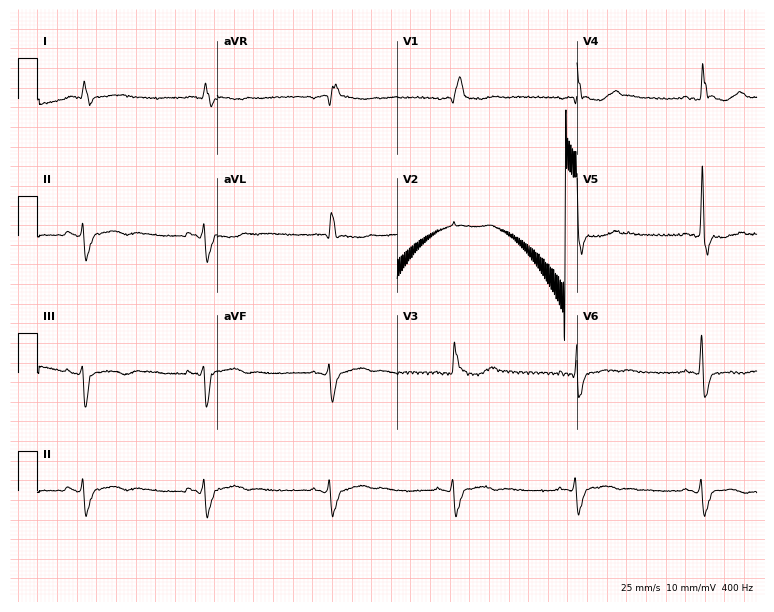
Resting 12-lead electrocardiogram. Patient: a male, 69 years old. None of these six findings is recorded: first-degree AV block, right bundle branch block (RBBB), left bundle branch block (LBBB), sinus bradycardia, atrial fibrillation (AF), sinus tachycardia. Other findings, if any, are not listed.